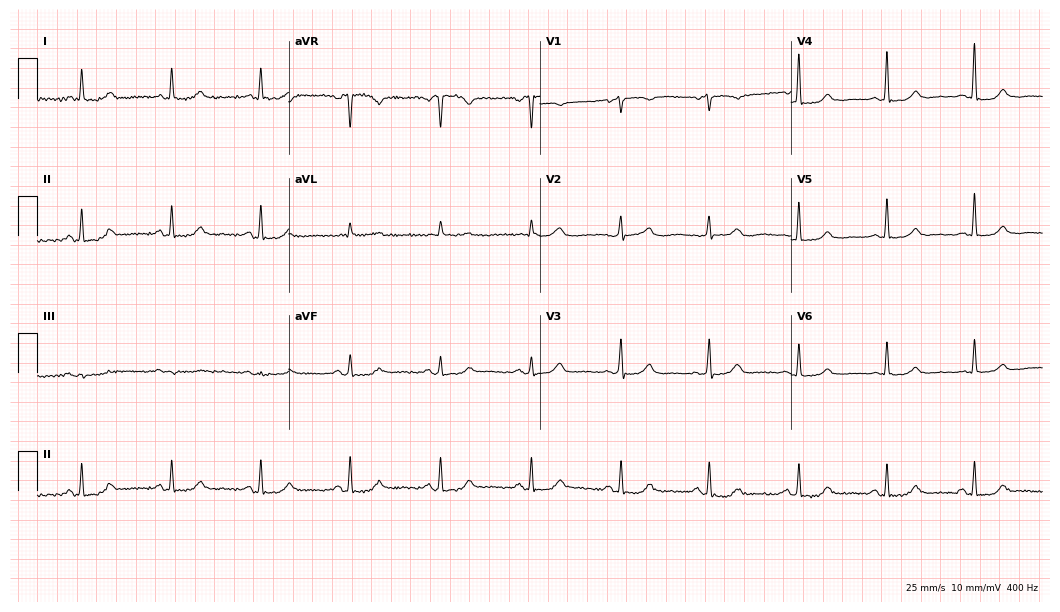
12-lead ECG (10.2-second recording at 400 Hz) from a 79-year-old woman. Labelled as a normal ECG.